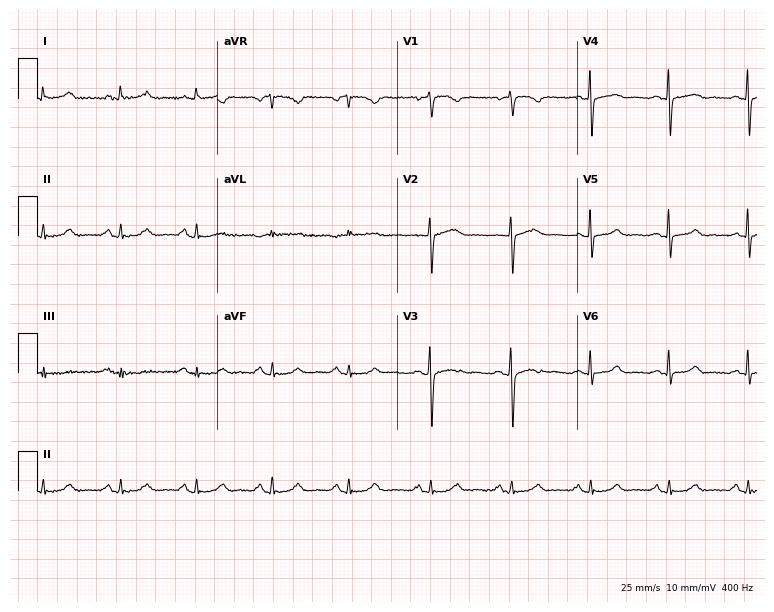
ECG (7.3-second recording at 400 Hz) — a woman, 52 years old. Screened for six findings — first-degree AV block, right bundle branch block, left bundle branch block, sinus bradycardia, atrial fibrillation, sinus tachycardia — none is recorded.